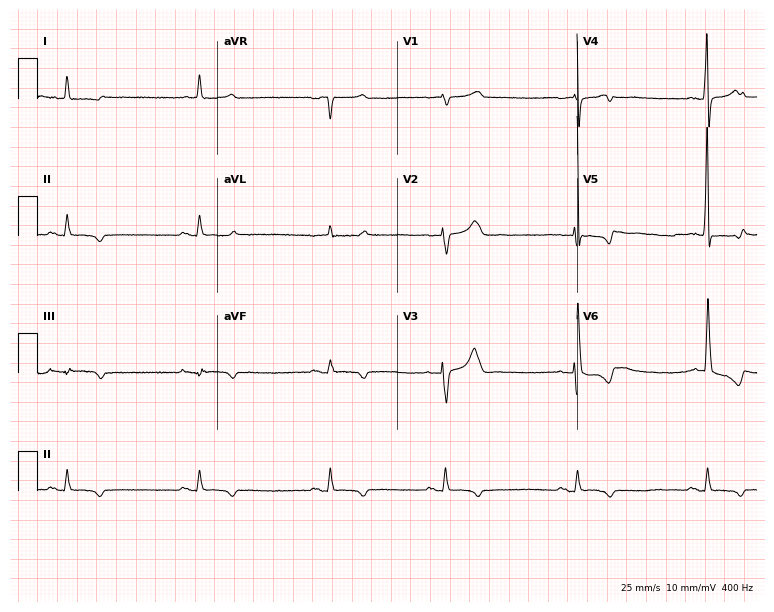
Resting 12-lead electrocardiogram. Patient: a female, 82 years old. None of these six findings is recorded: first-degree AV block, right bundle branch block, left bundle branch block, sinus bradycardia, atrial fibrillation, sinus tachycardia.